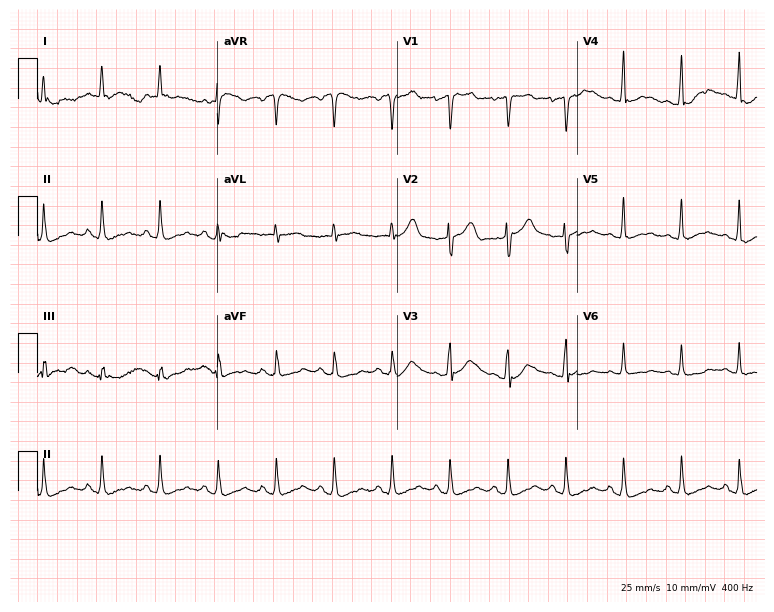
12-lead ECG from a 55-year-old man. Labelled as a normal ECG.